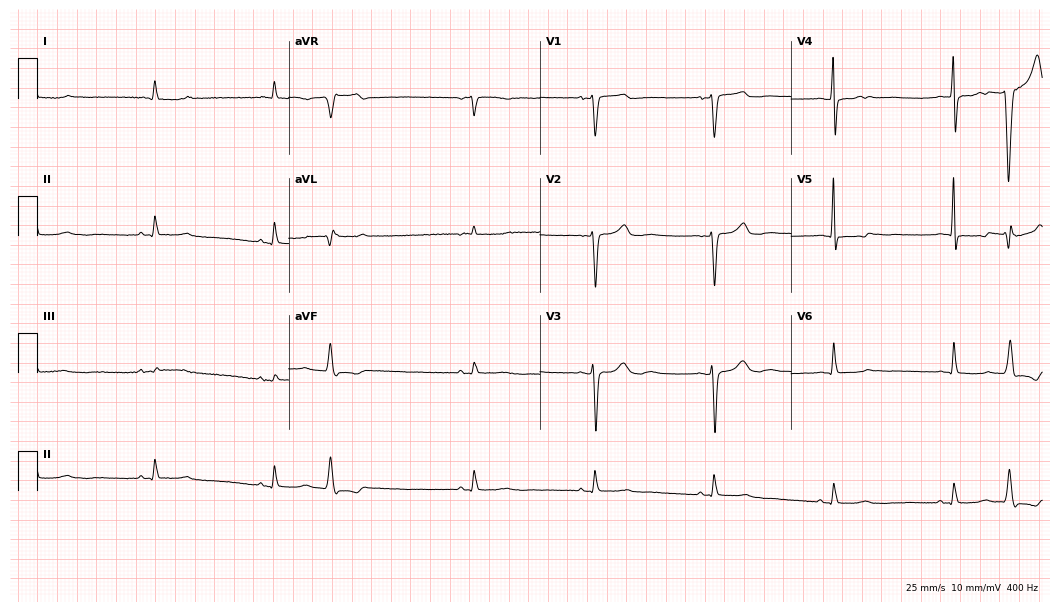
Standard 12-lead ECG recorded from a woman, 84 years old. None of these six findings is recorded: first-degree AV block, right bundle branch block, left bundle branch block, sinus bradycardia, atrial fibrillation, sinus tachycardia. Findings outside these six are not listed.